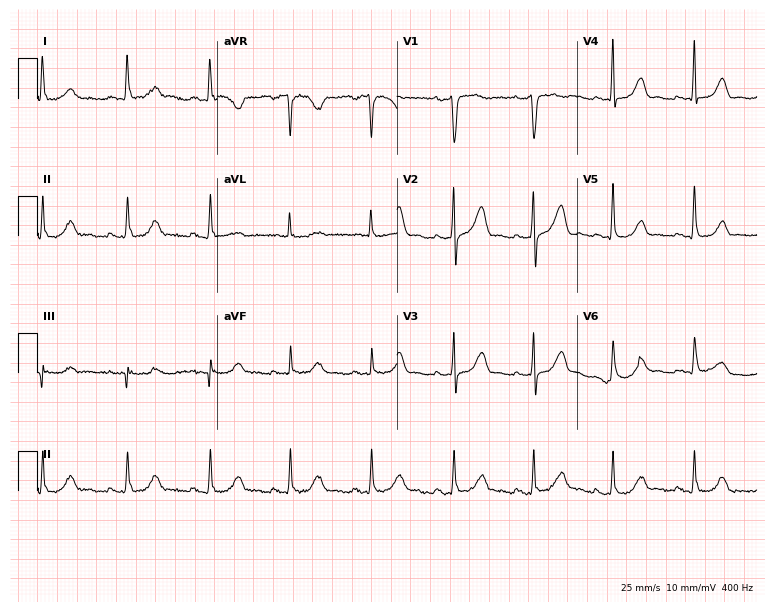
12-lead ECG from a female patient, 68 years old. Recorded interpretation: within normal limits.